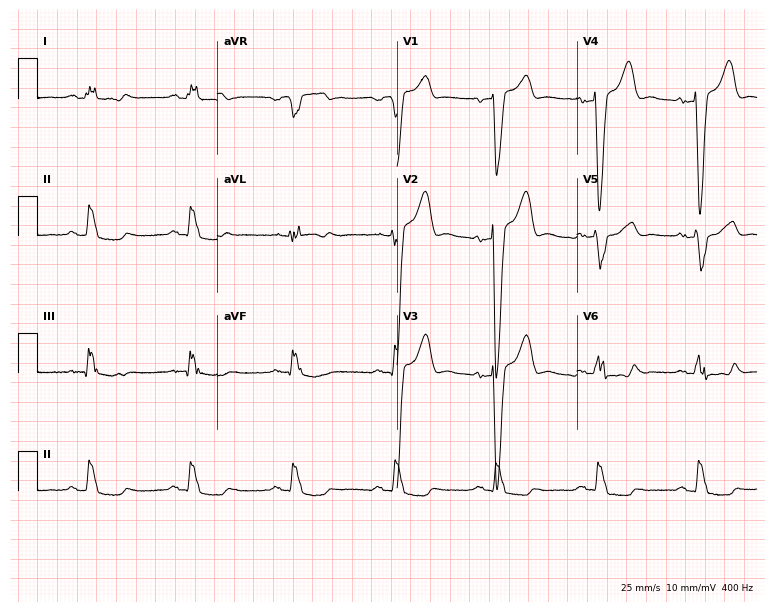
Electrocardiogram (7.3-second recording at 400 Hz), a man, 80 years old. Interpretation includes left bundle branch block.